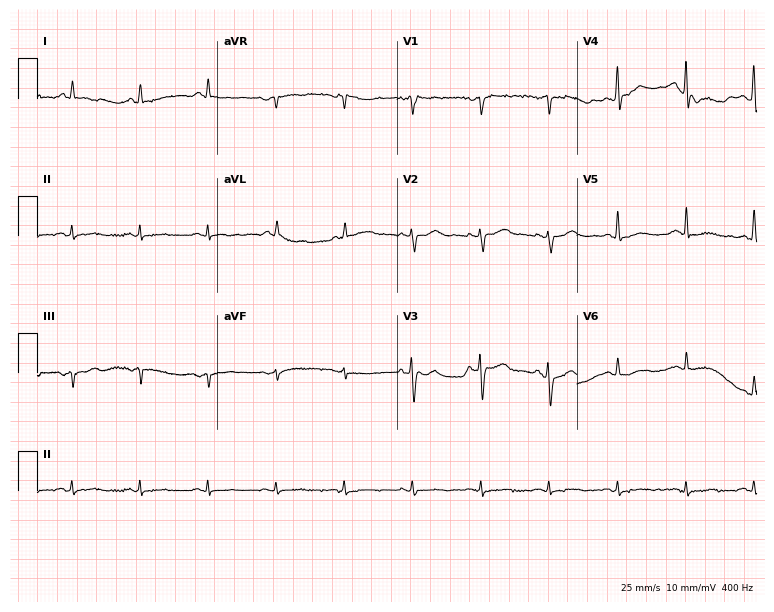
Resting 12-lead electrocardiogram (7.3-second recording at 400 Hz). Patient: an 80-year-old male. None of these six findings is recorded: first-degree AV block, right bundle branch block, left bundle branch block, sinus bradycardia, atrial fibrillation, sinus tachycardia.